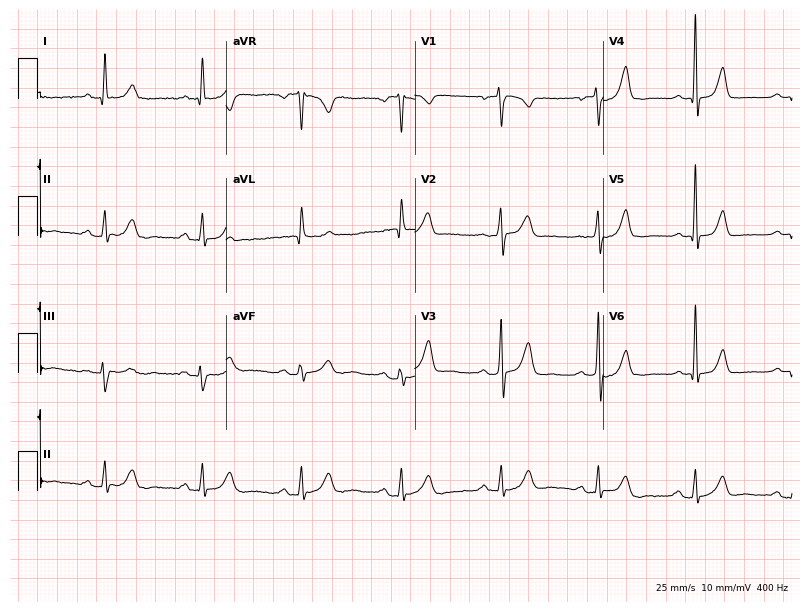
12-lead ECG from a 71-year-old female patient. Recorded interpretation: within normal limits.